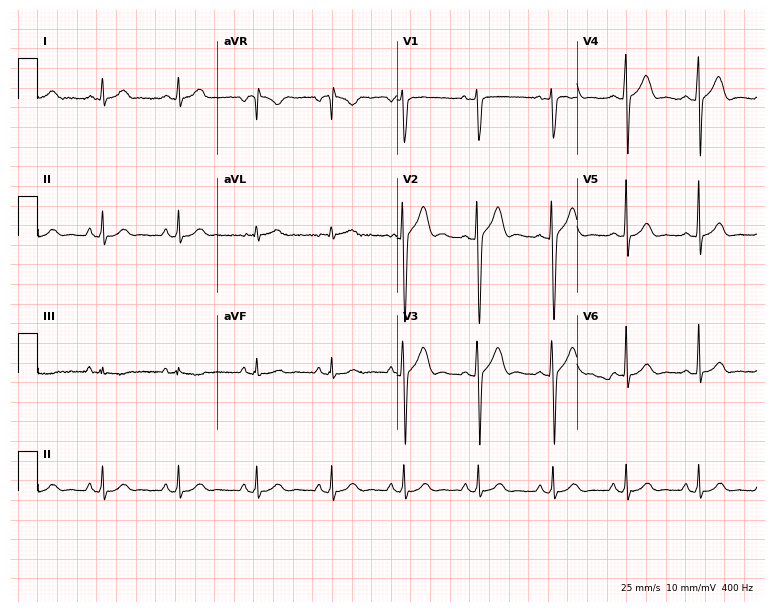
Electrocardiogram, a 26-year-old male. Overall reading on record: normal ECG.